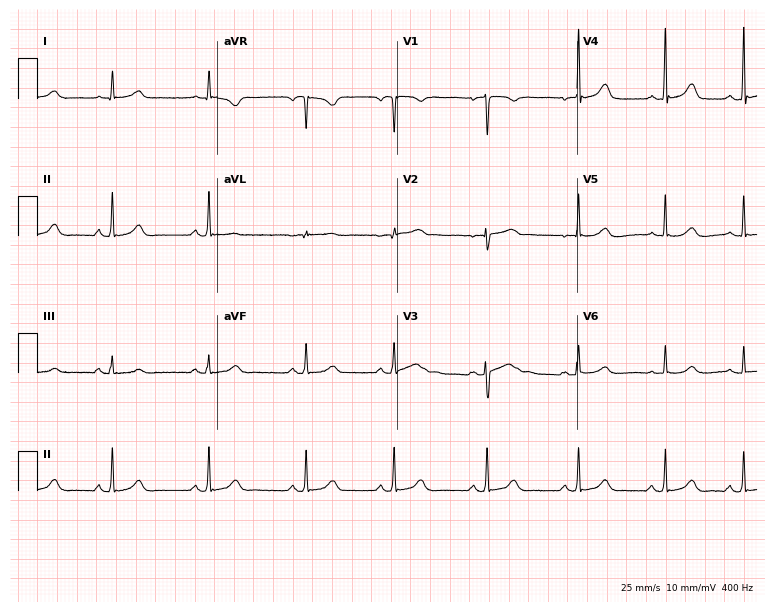
ECG (7.3-second recording at 400 Hz) — a 24-year-old female patient. Screened for six findings — first-degree AV block, right bundle branch block, left bundle branch block, sinus bradycardia, atrial fibrillation, sinus tachycardia — none is recorded. Findings outside these six are not listed.